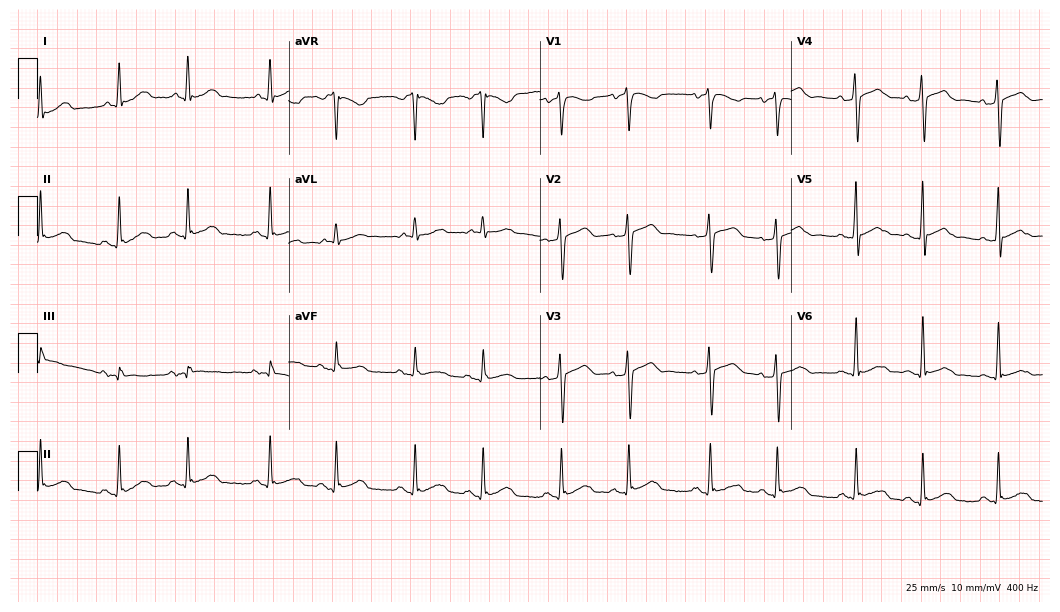
ECG — a 72-year-old woman. Labelled as a normal ECG.